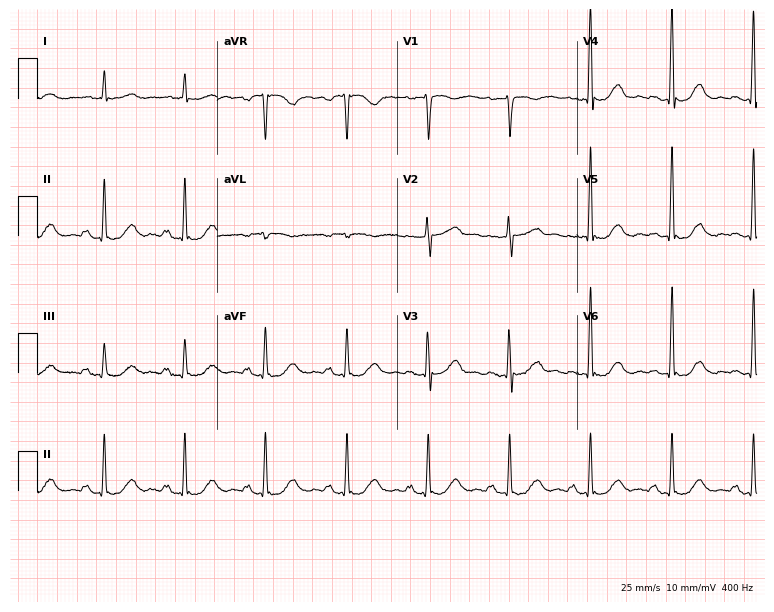
Standard 12-lead ECG recorded from a male, 81 years old. Read as a normal ECG.